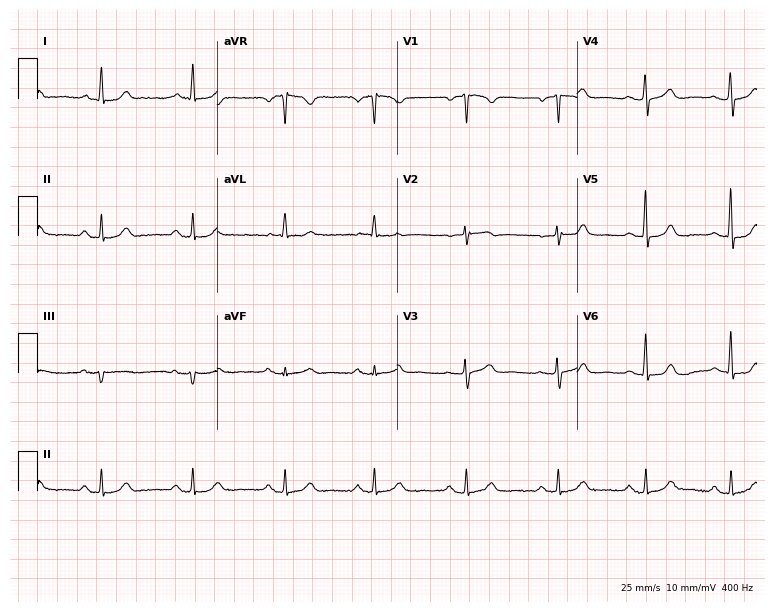
Standard 12-lead ECG recorded from a 52-year-old female. Read as a normal ECG.